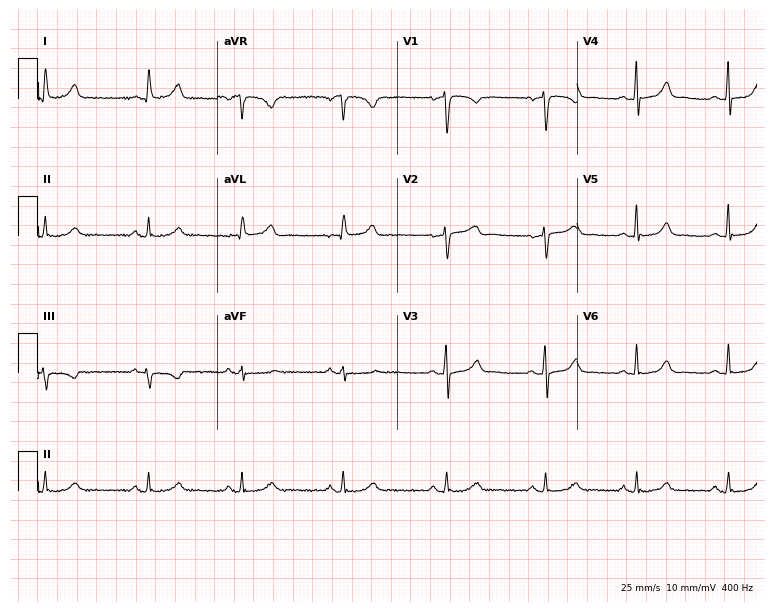
Resting 12-lead electrocardiogram (7.3-second recording at 400 Hz). Patient: a 37-year-old woman. None of these six findings is recorded: first-degree AV block, right bundle branch block (RBBB), left bundle branch block (LBBB), sinus bradycardia, atrial fibrillation (AF), sinus tachycardia. Other findings, if any, are not listed.